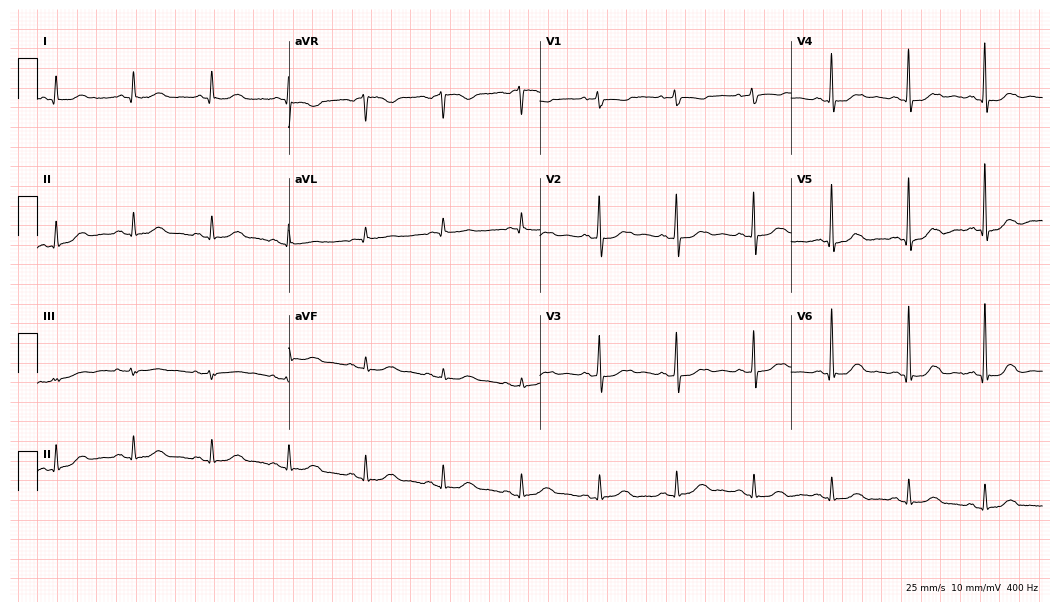
12-lead ECG from a 77-year-old female. Labelled as a normal ECG.